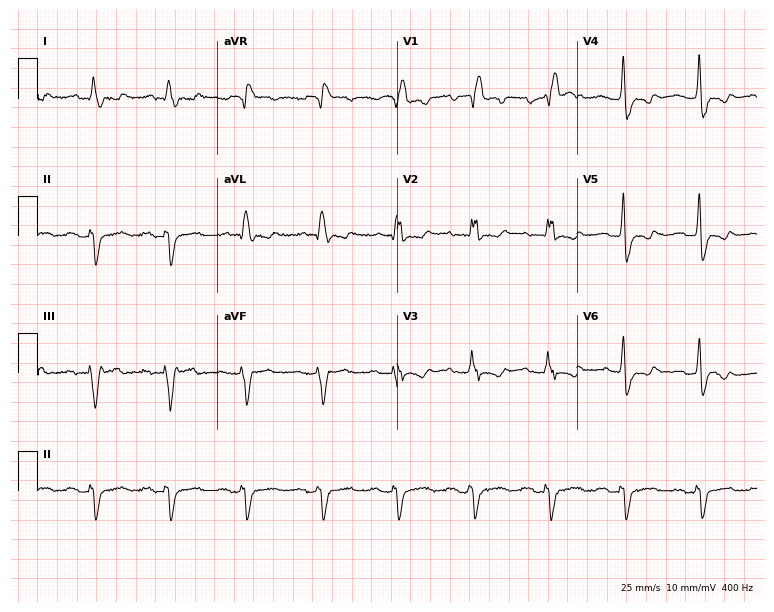
Electrocardiogram, a woman, 83 years old. Interpretation includes first-degree AV block, right bundle branch block.